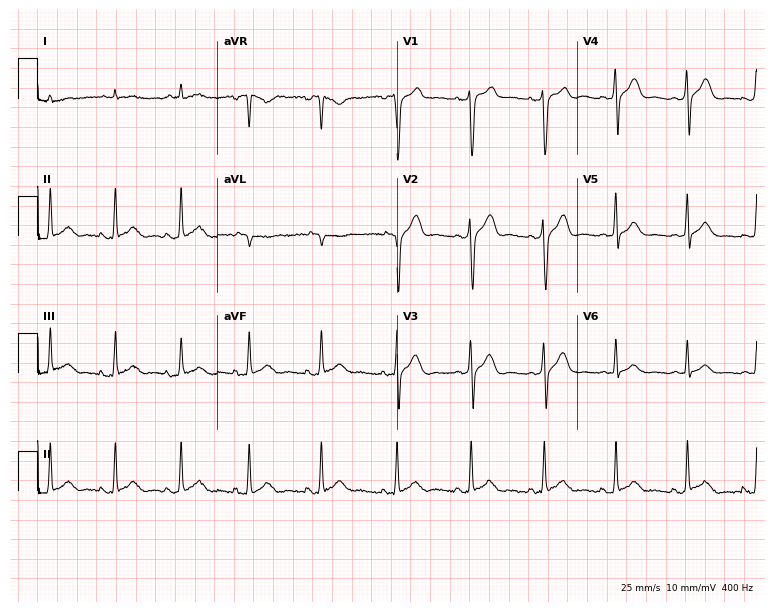
Standard 12-lead ECG recorded from a man, 44 years old. Read as a normal ECG.